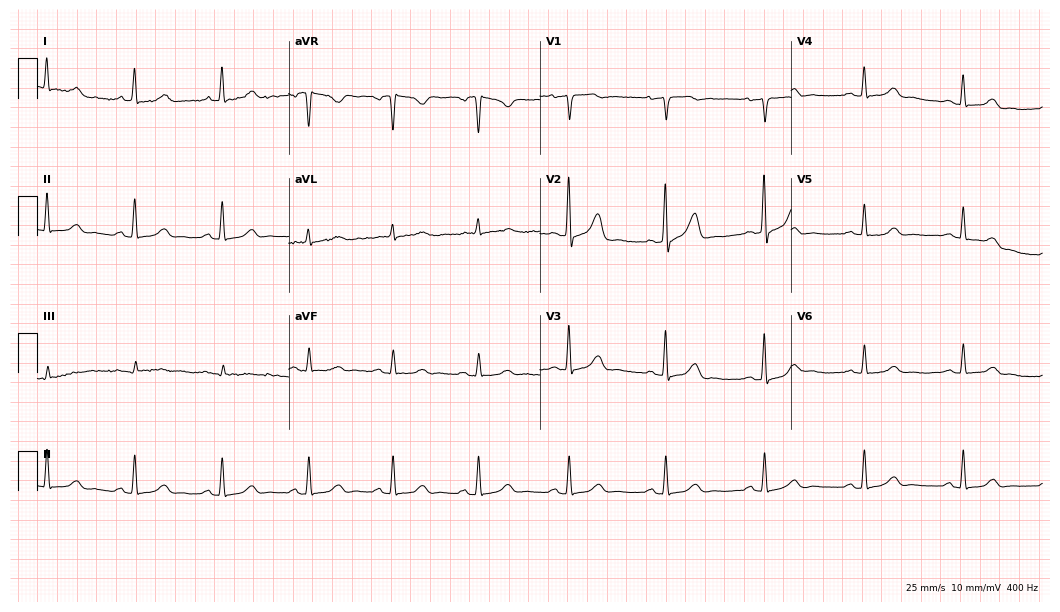
Standard 12-lead ECG recorded from a female, 54 years old. Read as a normal ECG.